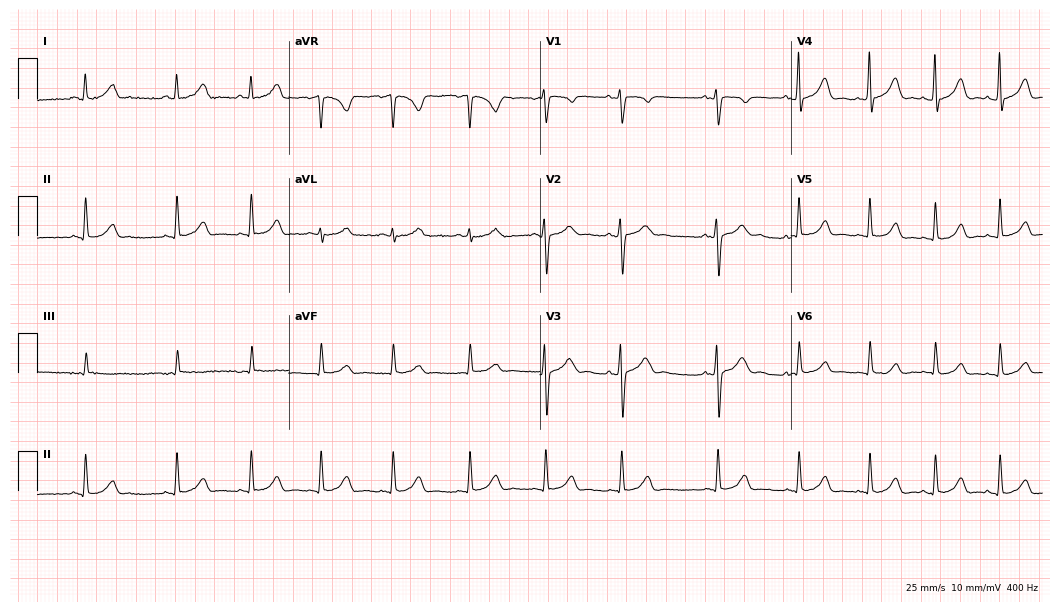
Electrocardiogram (10.2-second recording at 400 Hz), a 29-year-old woman. Of the six screened findings (first-degree AV block, right bundle branch block, left bundle branch block, sinus bradycardia, atrial fibrillation, sinus tachycardia), none is recorded.